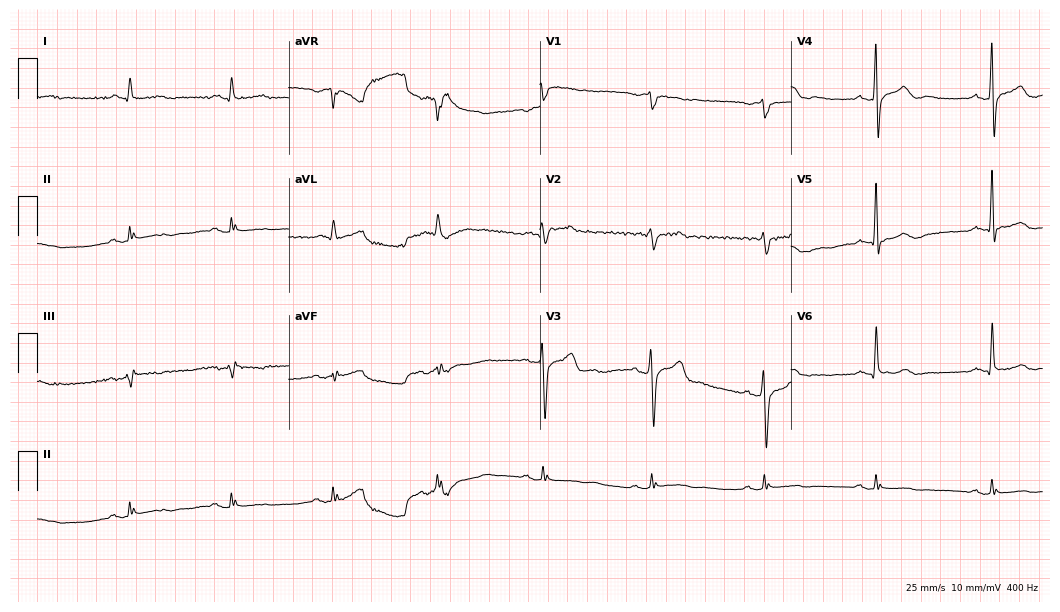
12-lead ECG (10.2-second recording at 400 Hz) from a male, 62 years old. Screened for six findings — first-degree AV block, right bundle branch block, left bundle branch block, sinus bradycardia, atrial fibrillation, sinus tachycardia — none is recorded. Findings outside these six are not listed.